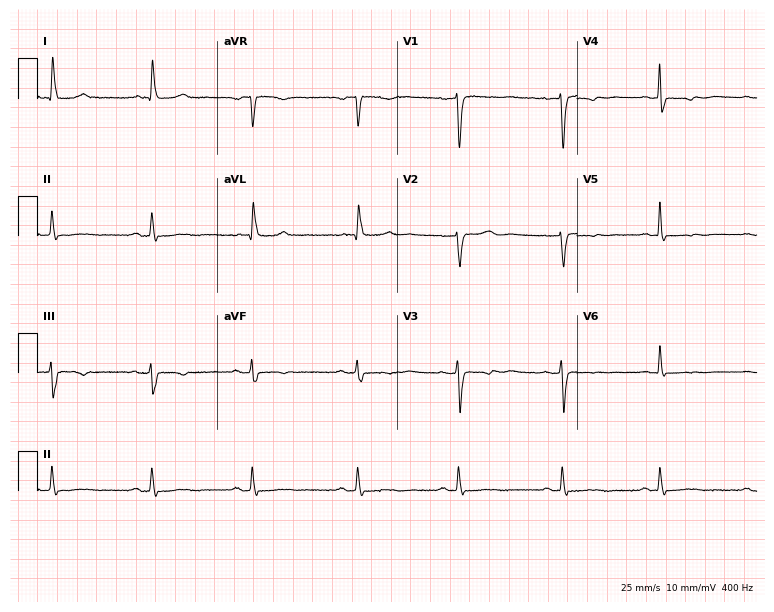
12-lead ECG from a 72-year-old female. No first-degree AV block, right bundle branch block, left bundle branch block, sinus bradycardia, atrial fibrillation or sinus tachycardia recorded for this tracing.